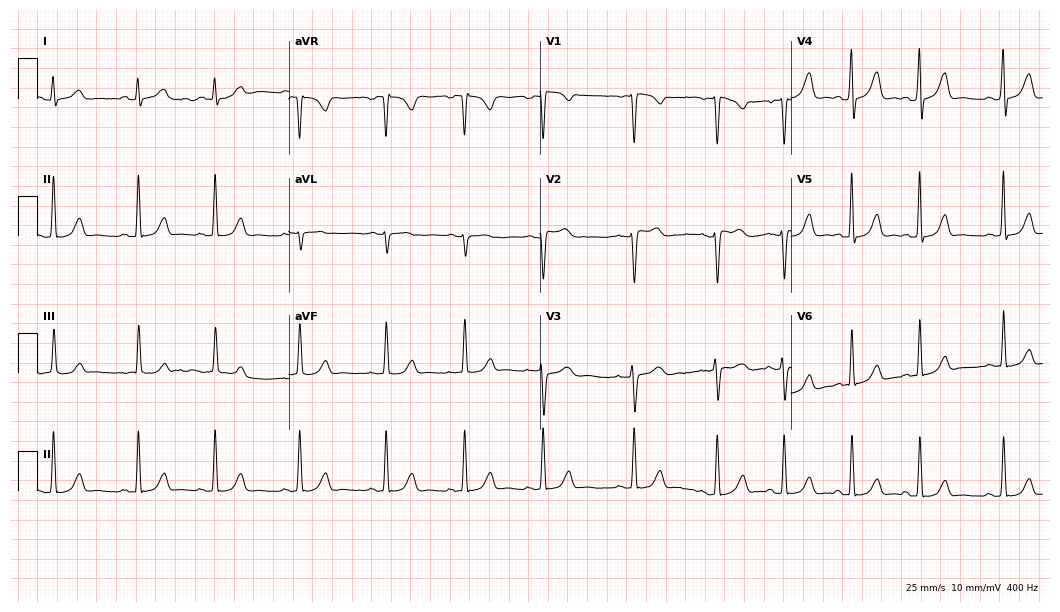
Resting 12-lead electrocardiogram (10.2-second recording at 400 Hz). Patient: a female, 20 years old. Read as a normal ECG.